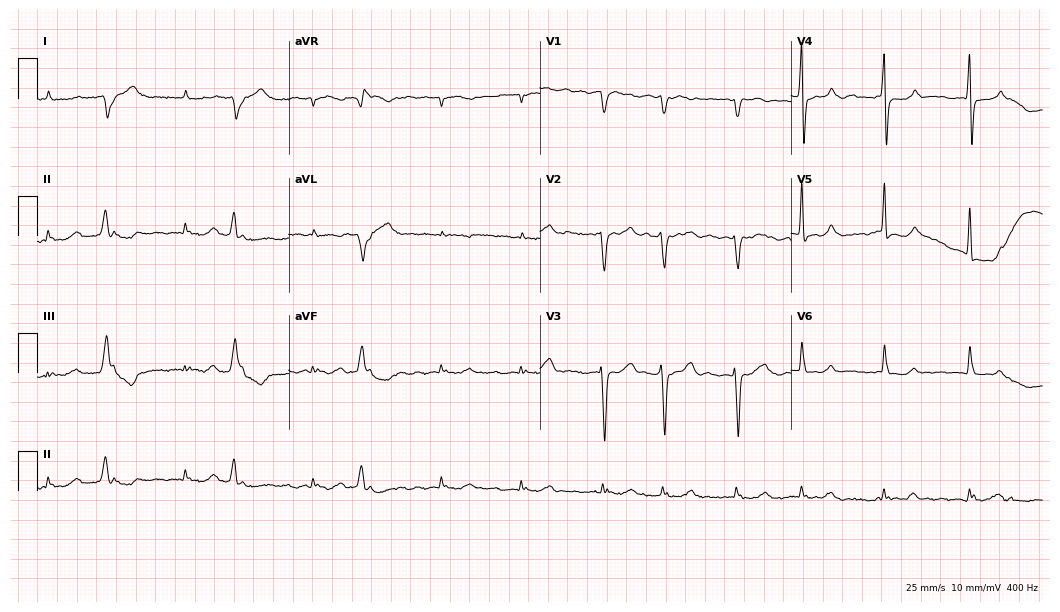
12-lead ECG (10.2-second recording at 400 Hz) from a male, 68 years old. Screened for six findings — first-degree AV block, right bundle branch block, left bundle branch block, sinus bradycardia, atrial fibrillation, sinus tachycardia — none is recorded. Findings outside these six are not listed.